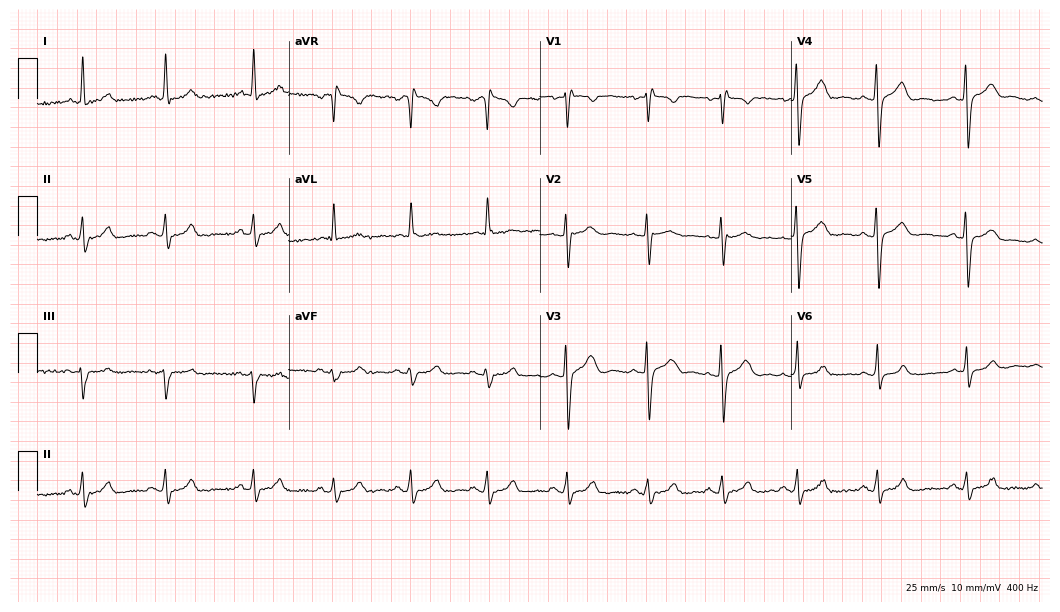
Electrocardiogram (10.2-second recording at 400 Hz), a female, 30 years old. Of the six screened findings (first-degree AV block, right bundle branch block, left bundle branch block, sinus bradycardia, atrial fibrillation, sinus tachycardia), none is recorded. Findings outside these six are not listed.